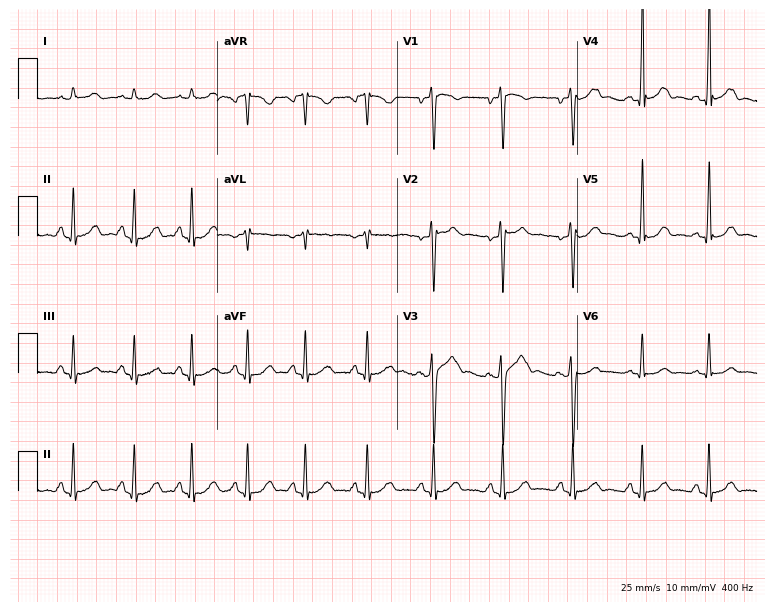
Electrocardiogram (7.3-second recording at 400 Hz), a female, 29 years old. Overall reading on record: normal ECG.